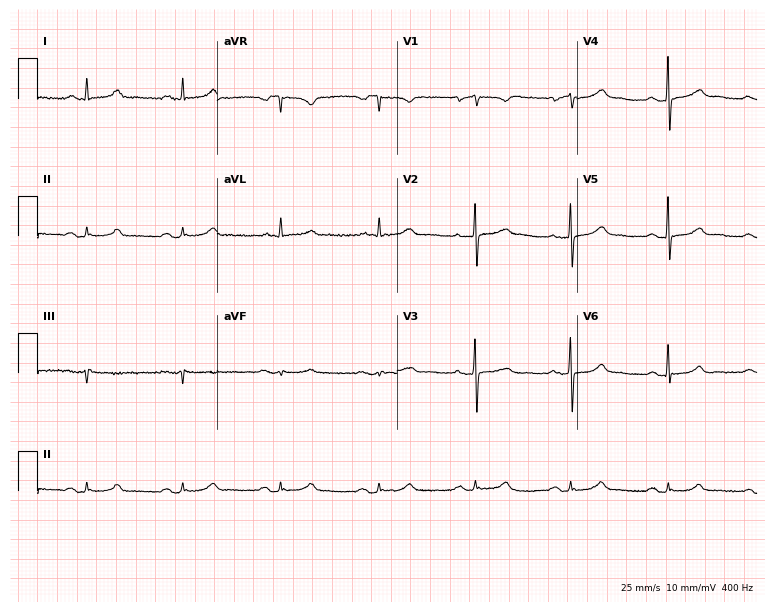
12-lead ECG from a 66-year-old female patient. No first-degree AV block, right bundle branch block, left bundle branch block, sinus bradycardia, atrial fibrillation or sinus tachycardia recorded for this tracing. Other findings, if any, are not listed.